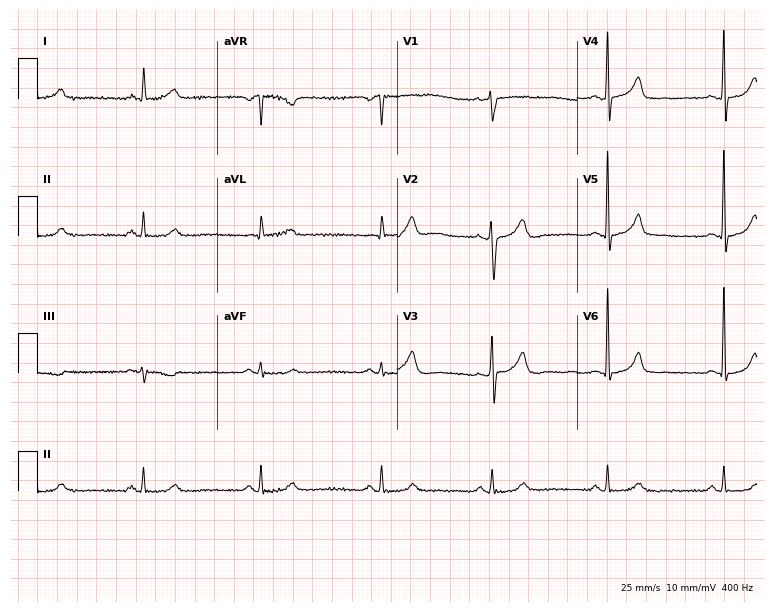
ECG (7.3-second recording at 400 Hz) — a male patient, 56 years old. Screened for six findings — first-degree AV block, right bundle branch block (RBBB), left bundle branch block (LBBB), sinus bradycardia, atrial fibrillation (AF), sinus tachycardia — none is recorded. Findings outside these six are not listed.